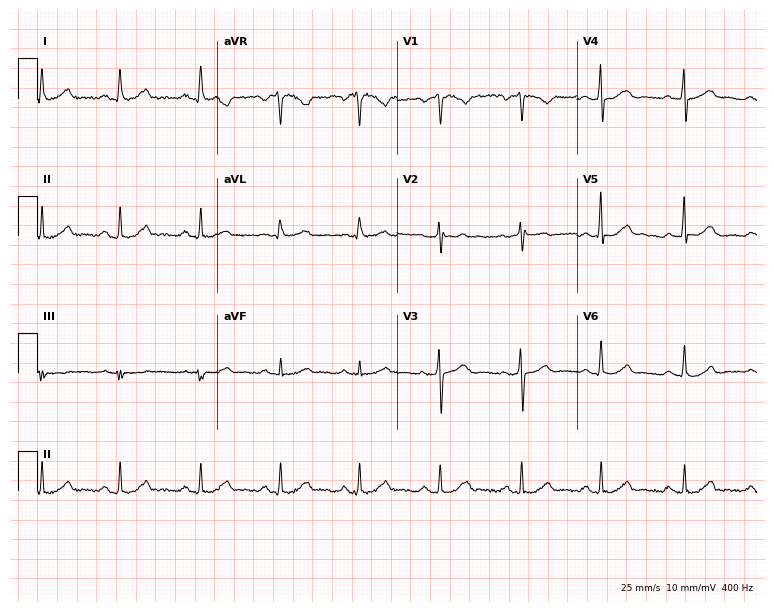
Electrocardiogram (7.3-second recording at 400 Hz), a 51-year-old female patient. Overall reading on record: normal ECG.